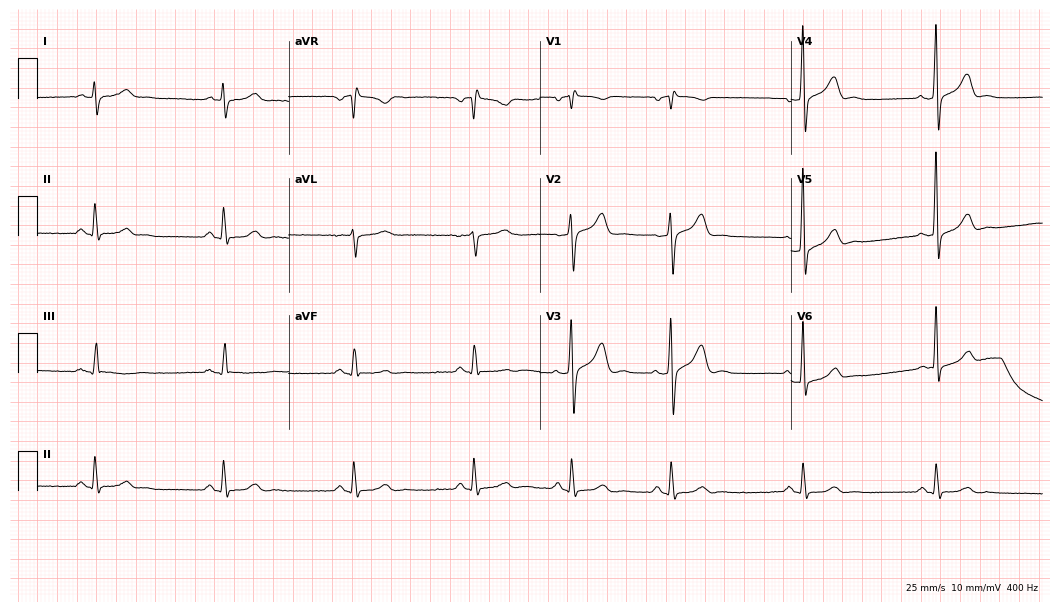
12-lead ECG from a 55-year-old man. Screened for six findings — first-degree AV block, right bundle branch block, left bundle branch block, sinus bradycardia, atrial fibrillation, sinus tachycardia — none is recorded. Findings outside these six are not listed.